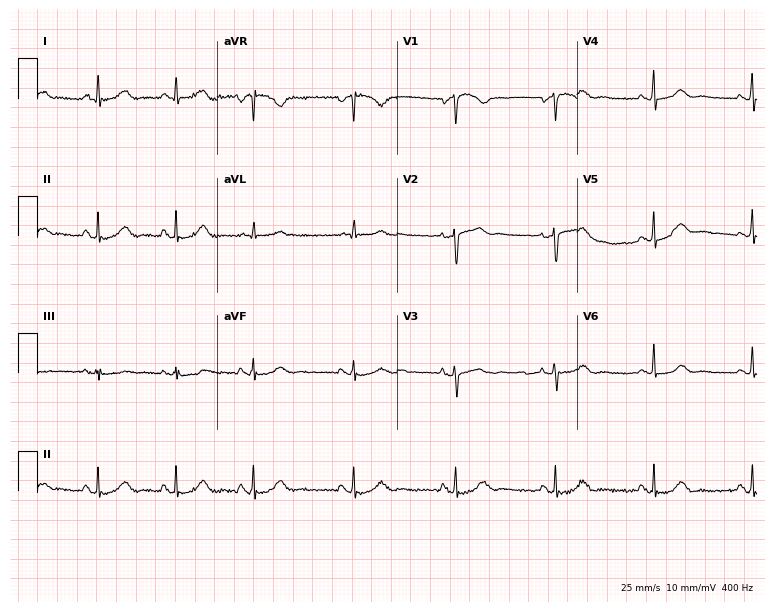
12-lead ECG from a 65-year-old female. Recorded interpretation: within normal limits.